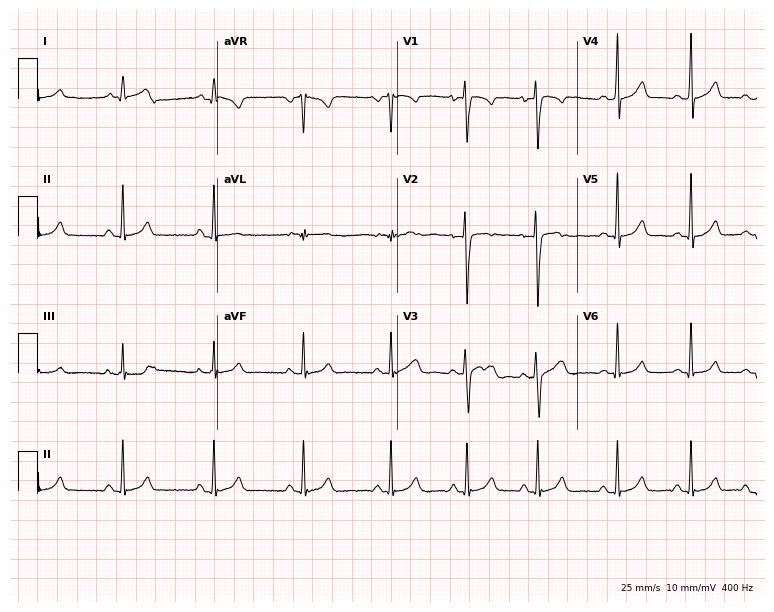
Standard 12-lead ECG recorded from a female, 17 years old. Read as a normal ECG.